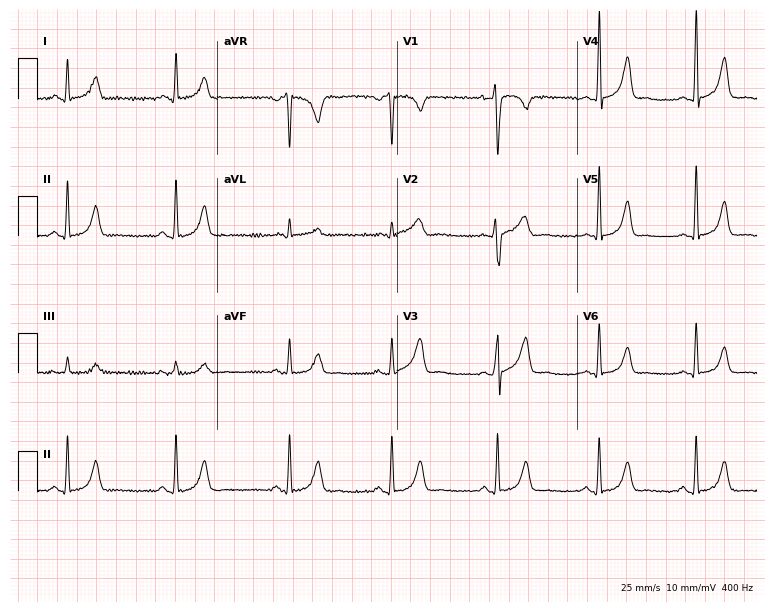
12-lead ECG from a 36-year-old woman. Screened for six findings — first-degree AV block, right bundle branch block, left bundle branch block, sinus bradycardia, atrial fibrillation, sinus tachycardia — none is recorded.